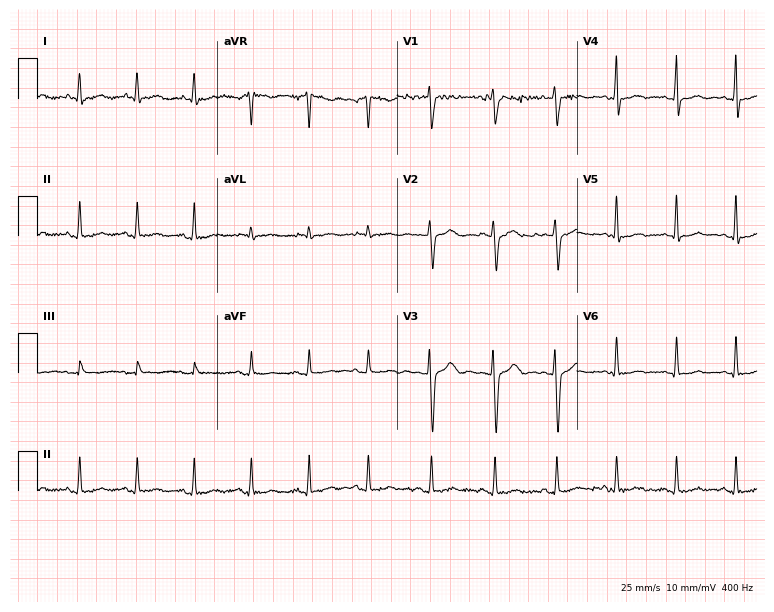
12-lead ECG from a female, 37 years old. Screened for six findings — first-degree AV block, right bundle branch block, left bundle branch block, sinus bradycardia, atrial fibrillation, sinus tachycardia — none is recorded.